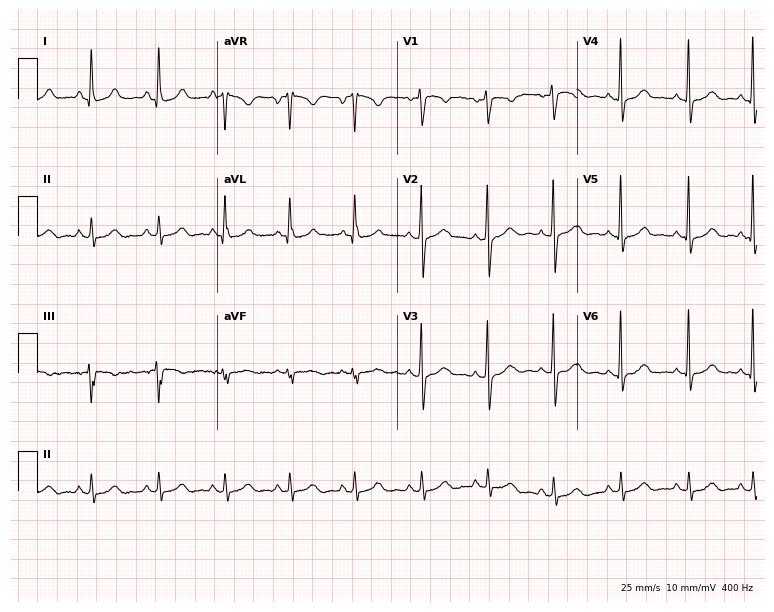
Standard 12-lead ECG recorded from a 34-year-old female patient. Read as a normal ECG.